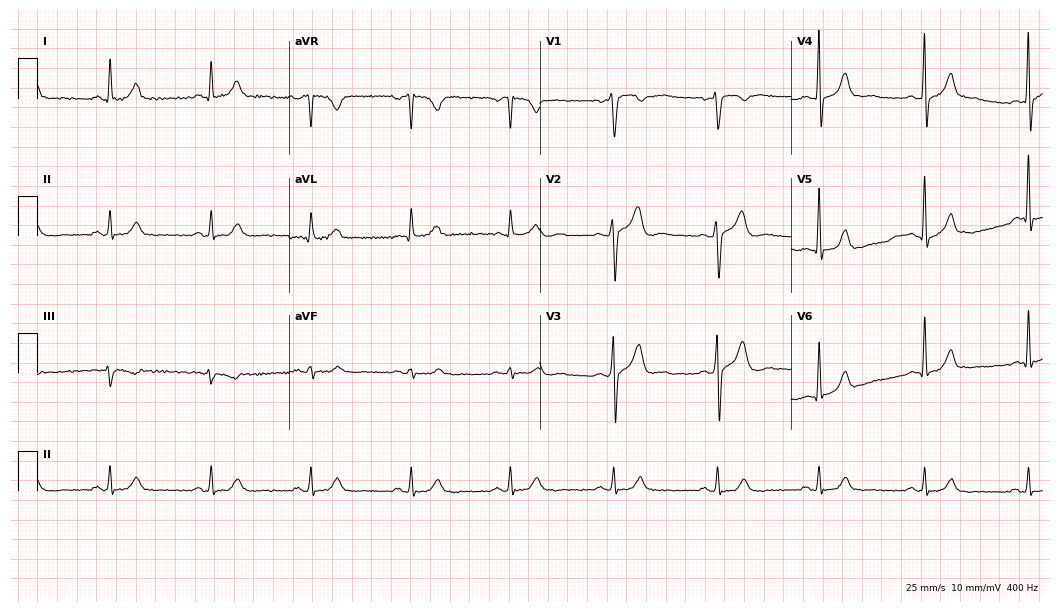
Electrocardiogram, a male patient, 52 years old. Overall reading on record: normal ECG.